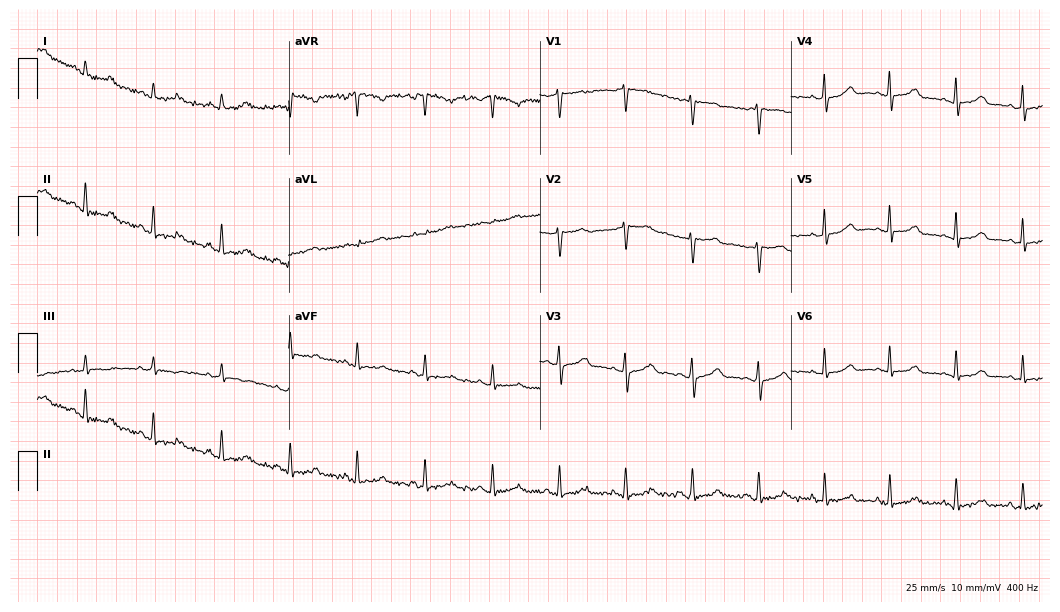
Resting 12-lead electrocardiogram (10.2-second recording at 400 Hz). Patient: a 41-year-old female. Read as a normal ECG.